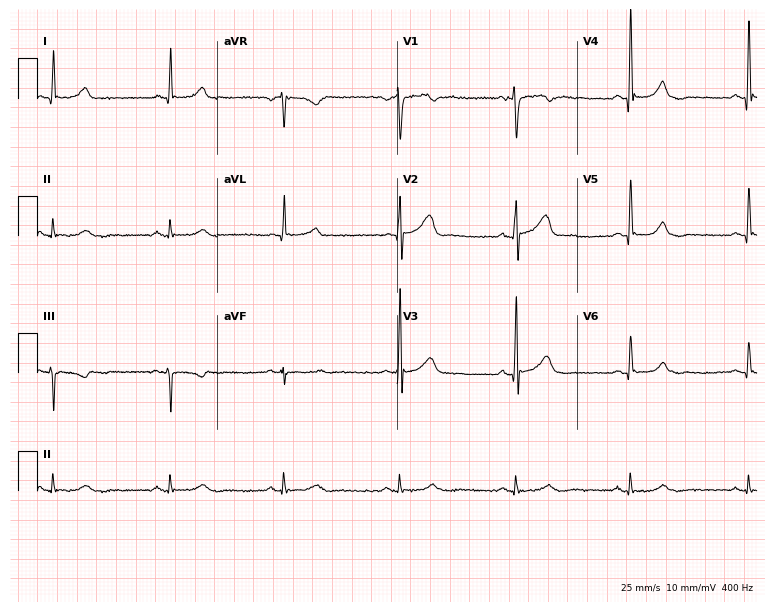
Standard 12-lead ECG recorded from a man, 69 years old. Read as a normal ECG.